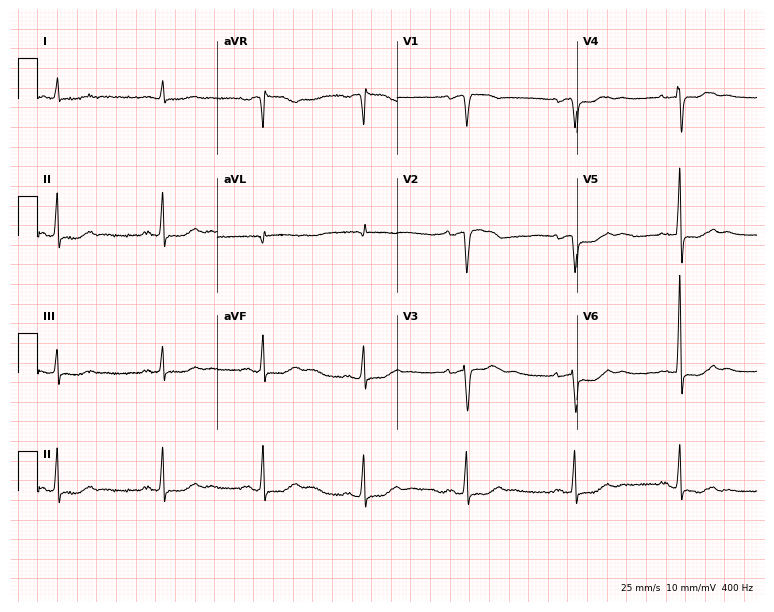
Resting 12-lead electrocardiogram. Patient: a woman, 78 years old. None of these six findings is recorded: first-degree AV block, right bundle branch block (RBBB), left bundle branch block (LBBB), sinus bradycardia, atrial fibrillation (AF), sinus tachycardia. Findings outside these six are not listed.